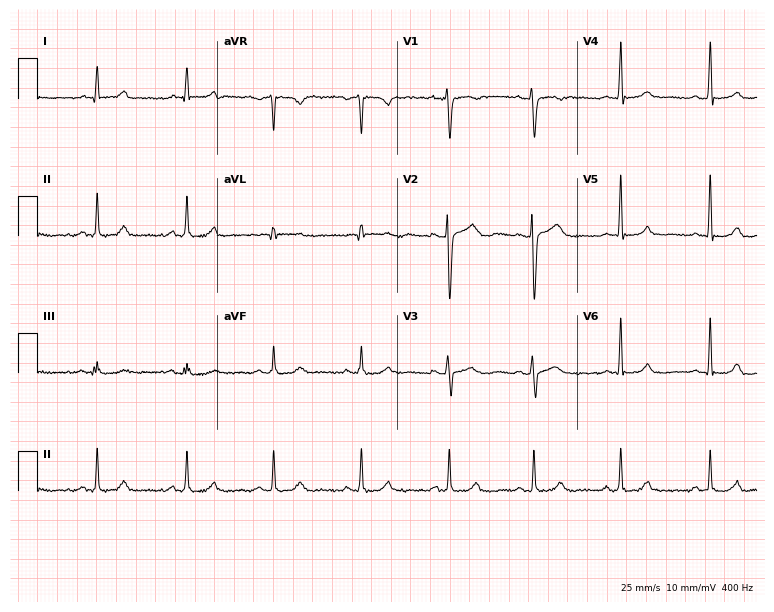
12-lead ECG from a female patient, 35 years old (7.3-second recording at 400 Hz). Recorded interpretation: within normal limits.